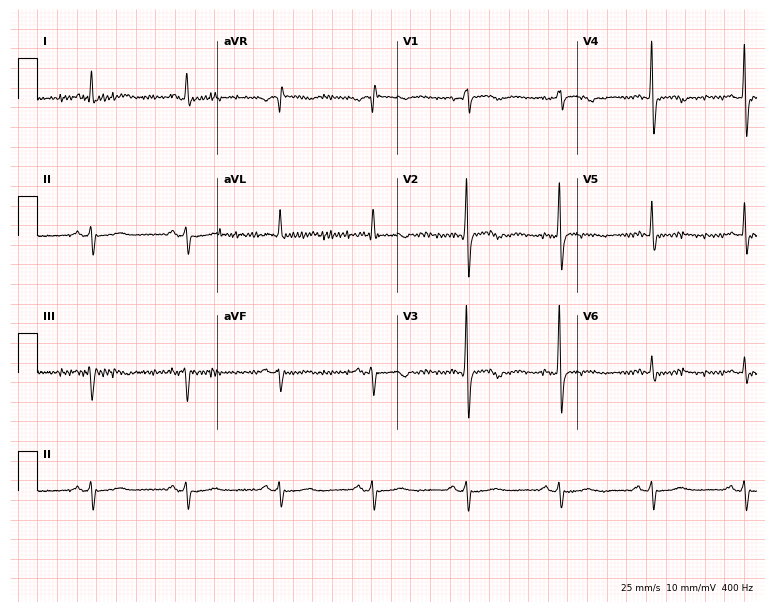
ECG — a female, 68 years old. Screened for six findings — first-degree AV block, right bundle branch block (RBBB), left bundle branch block (LBBB), sinus bradycardia, atrial fibrillation (AF), sinus tachycardia — none is recorded.